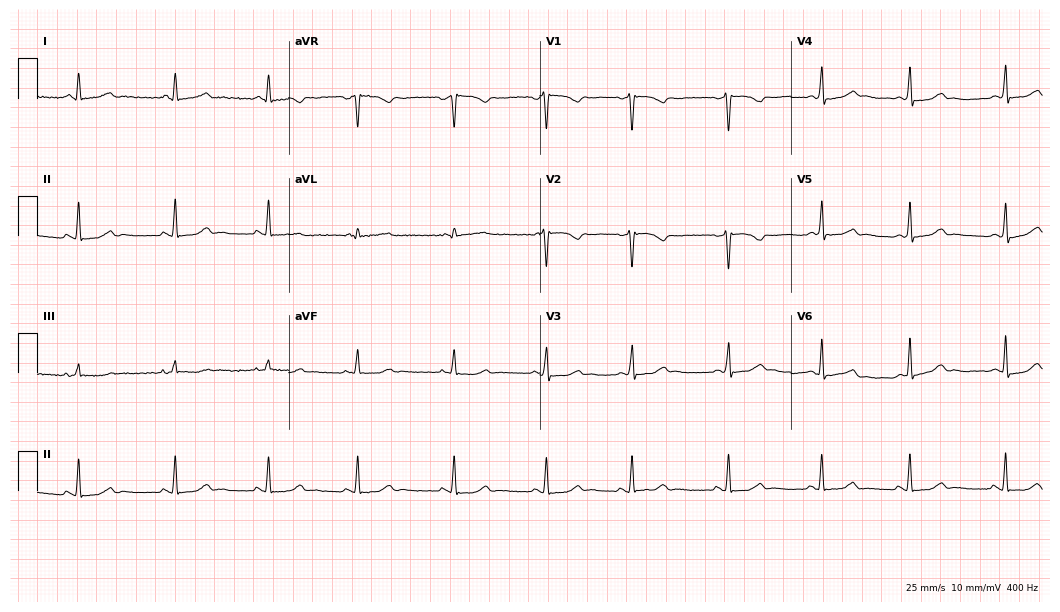
Resting 12-lead electrocardiogram. Patient: a female, 18 years old. Read as a normal ECG.